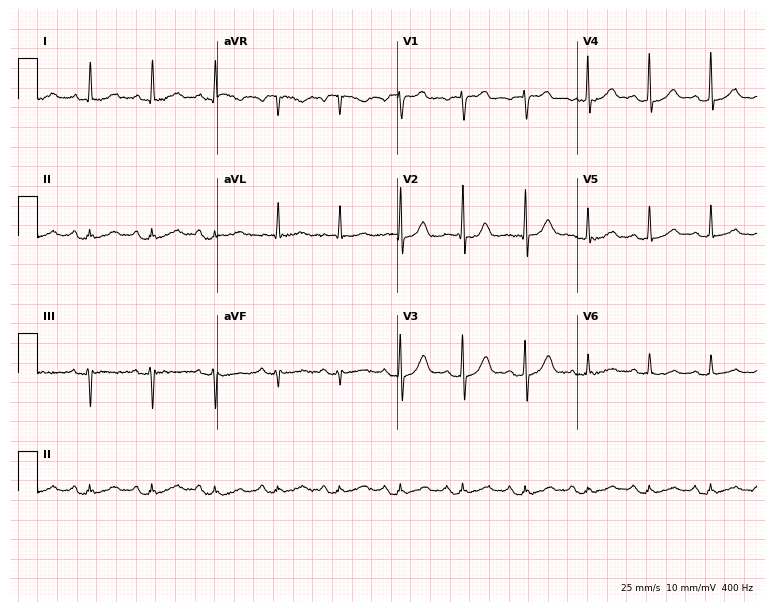
Resting 12-lead electrocardiogram. Patient: a male, 77 years old. Read as a normal ECG.